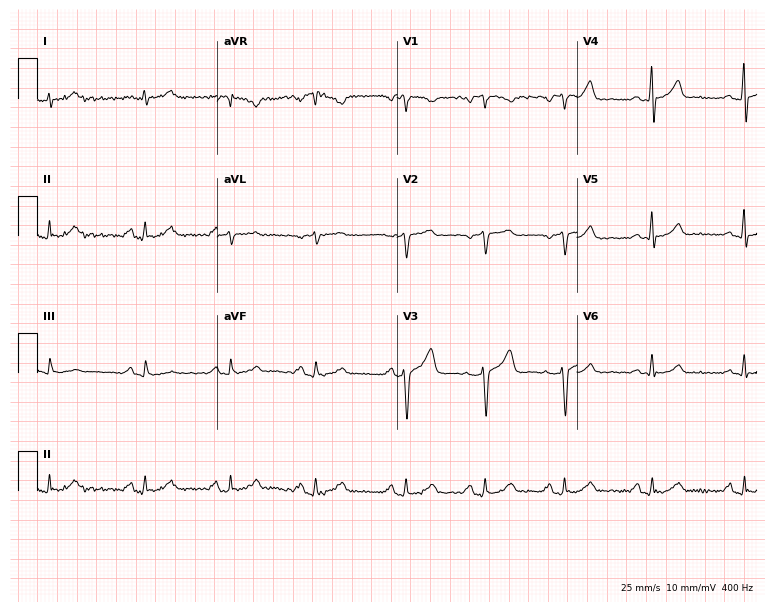
12-lead ECG from a 34-year-old male patient (7.3-second recording at 400 Hz). No first-degree AV block, right bundle branch block, left bundle branch block, sinus bradycardia, atrial fibrillation or sinus tachycardia recorded for this tracing.